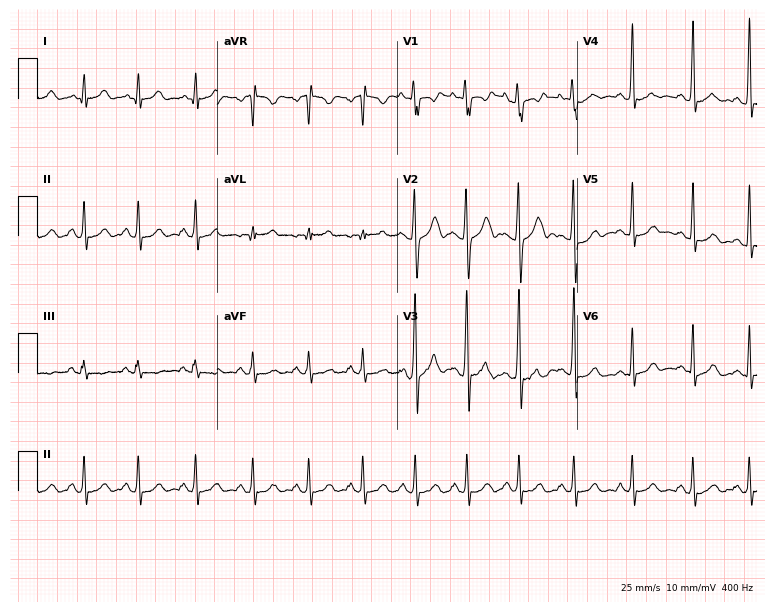
ECG (7.3-second recording at 400 Hz) — a 19-year-old male patient. Findings include sinus tachycardia (a sinus rate of 100 beats per minute or more).